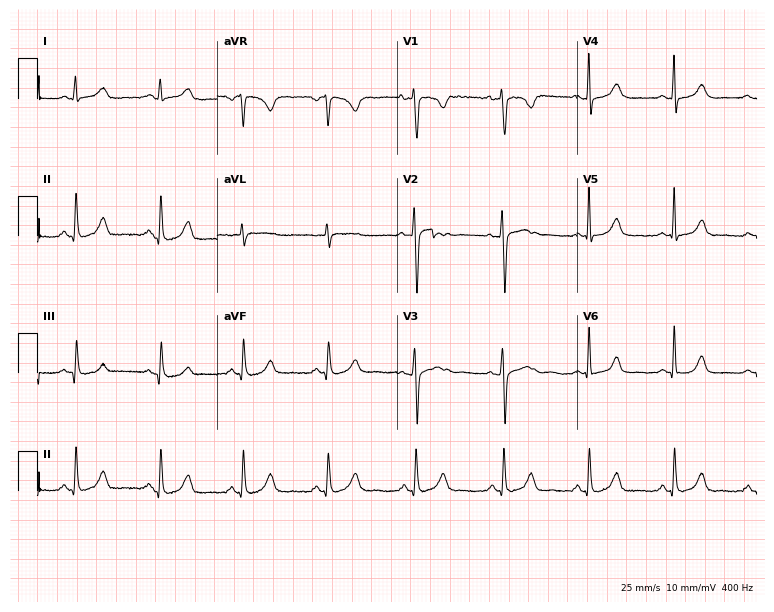
Electrocardiogram, a 27-year-old female patient. Of the six screened findings (first-degree AV block, right bundle branch block, left bundle branch block, sinus bradycardia, atrial fibrillation, sinus tachycardia), none is recorded. Other findings, if any, are not listed.